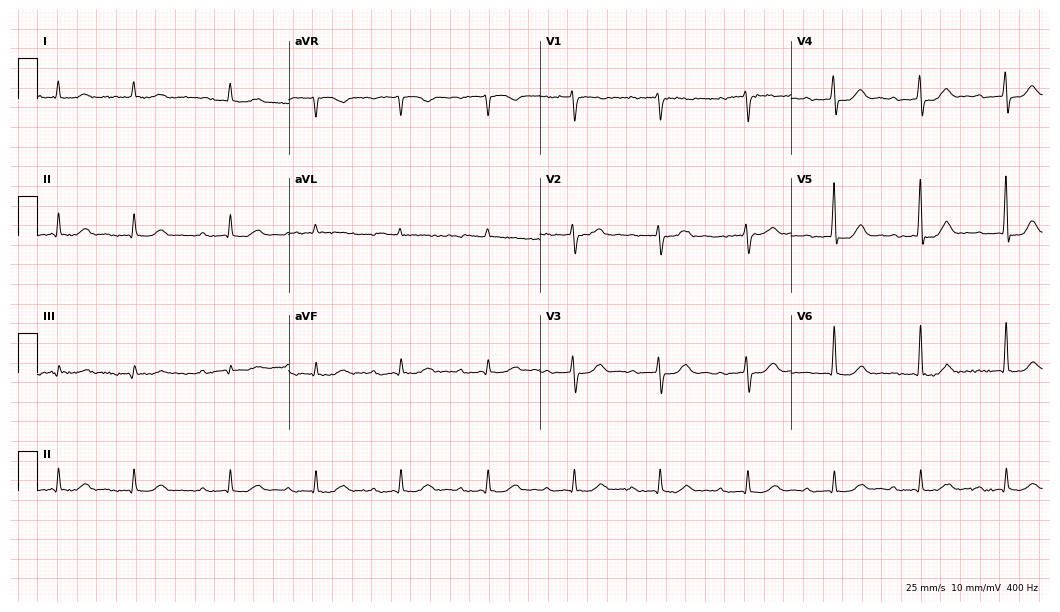
Standard 12-lead ECG recorded from a man, 84 years old (10.2-second recording at 400 Hz). Read as a normal ECG.